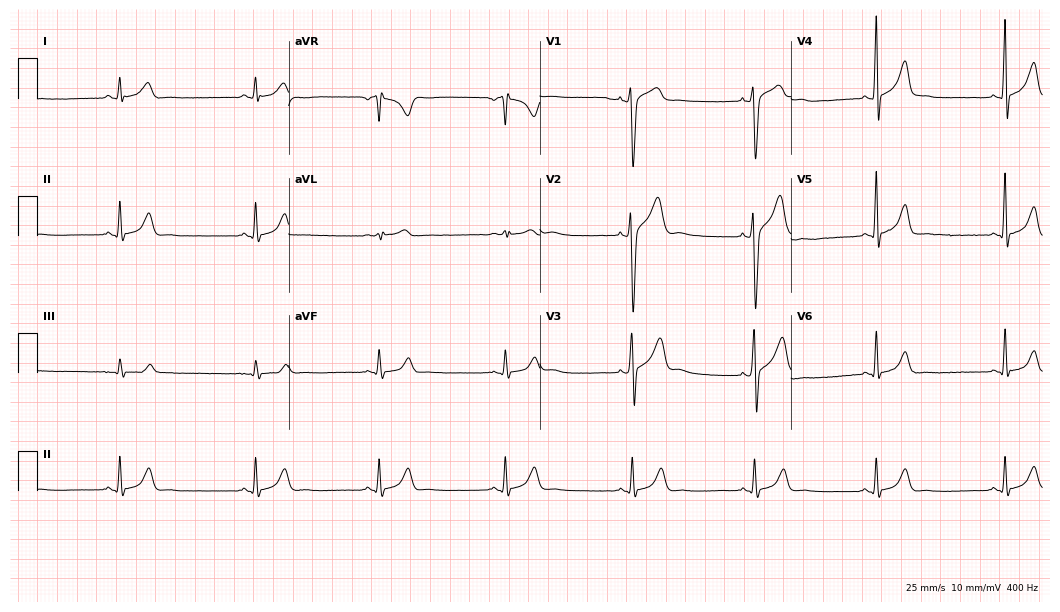
12-lead ECG from a 73-year-old man (10.2-second recording at 400 Hz). Shows sinus bradycardia (a sinus rate of 50 beats per minute or less).